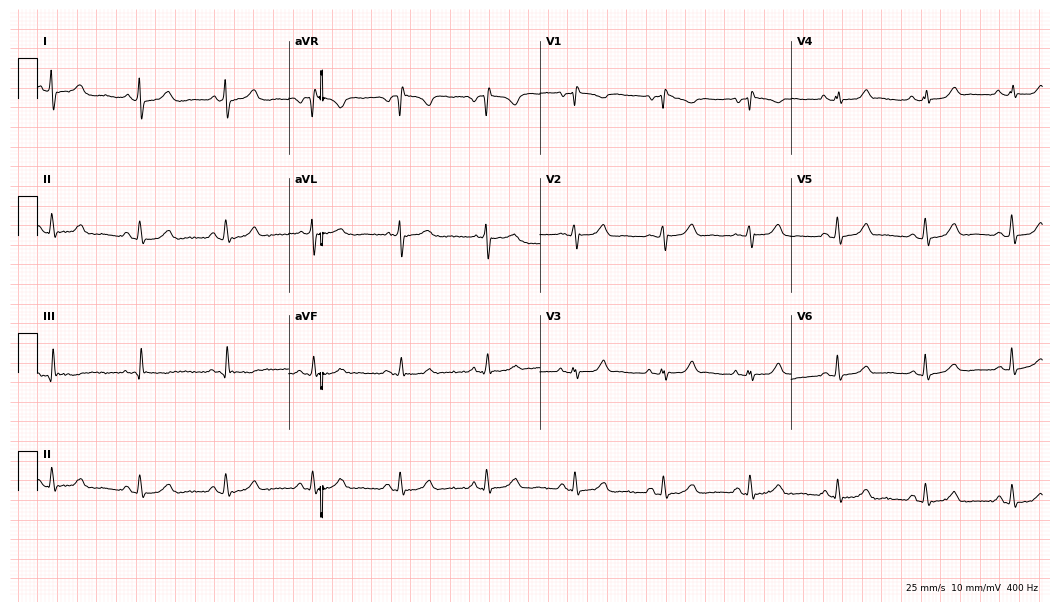
ECG — a woman, 55 years old. Labelled as a normal ECG.